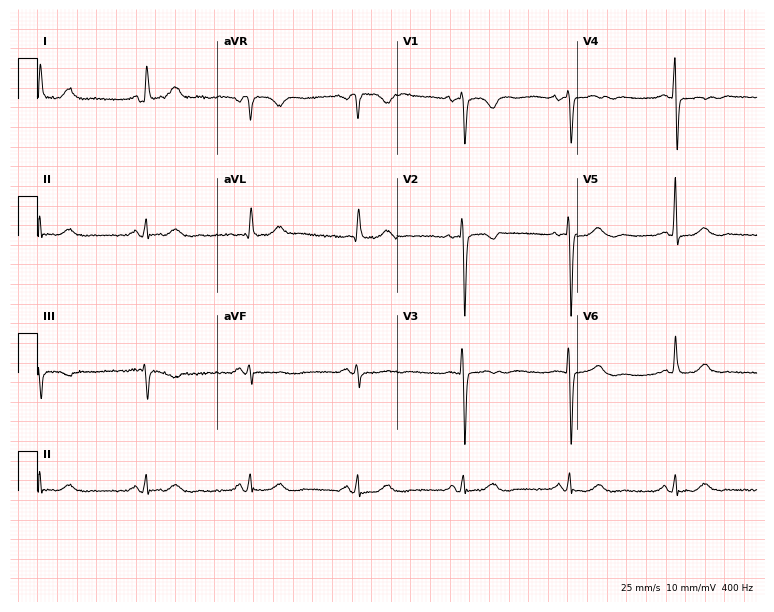
Resting 12-lead electrocardiogram. Patient: a female, 84 years old. None of these six findings is recorded: first-degree AV block, right bundle branch block, left bundle branch block, sinus bradycardia, atrial fibrillation, sinus tachycardia. Only these six findings were labelled.